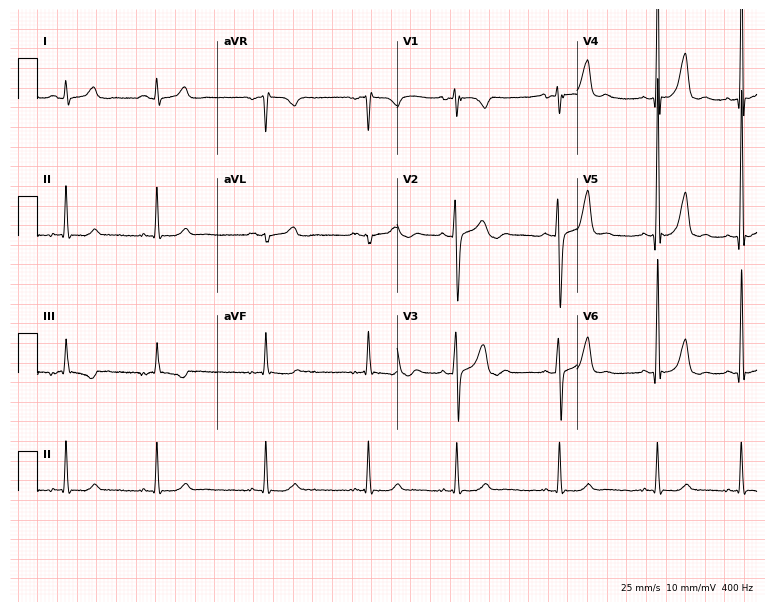
Resting 12-lead electrocardiogram. Patient: a male, 25 years old. None of these six findings is recorded: first-degree AV block, right bundle branch block, left bundle branch block, sinus bradycardia, atrial fibrillation, sinus tachycardia.